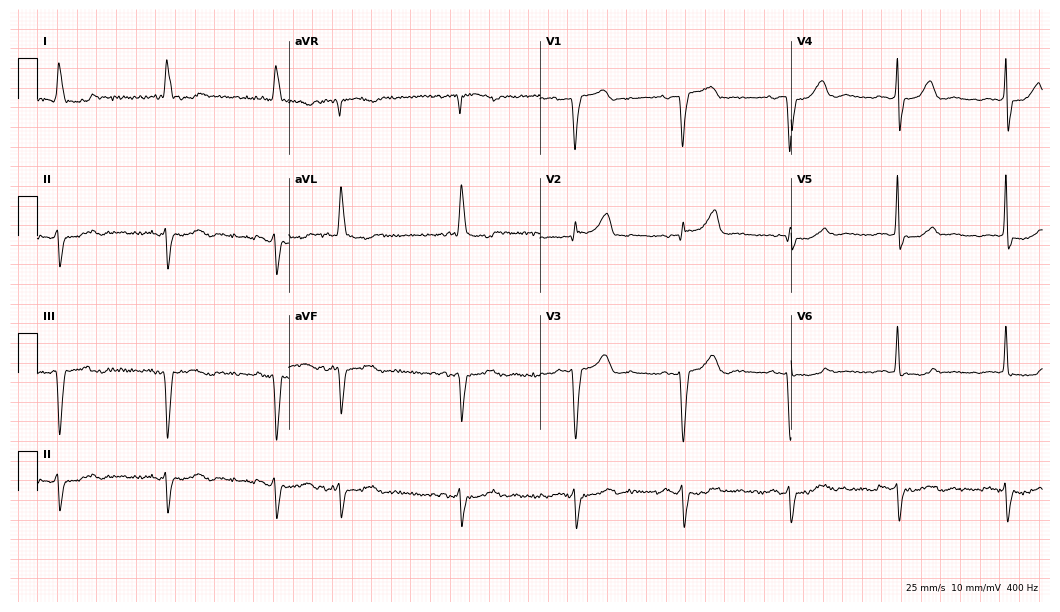
12-lead ECG from a 77-year-old male. No first-degree AV block, right bundle branch block, left bundle branch block, sinus bradycardia, atrial fibrillation or sinus tachycardia recorded for this tracing.